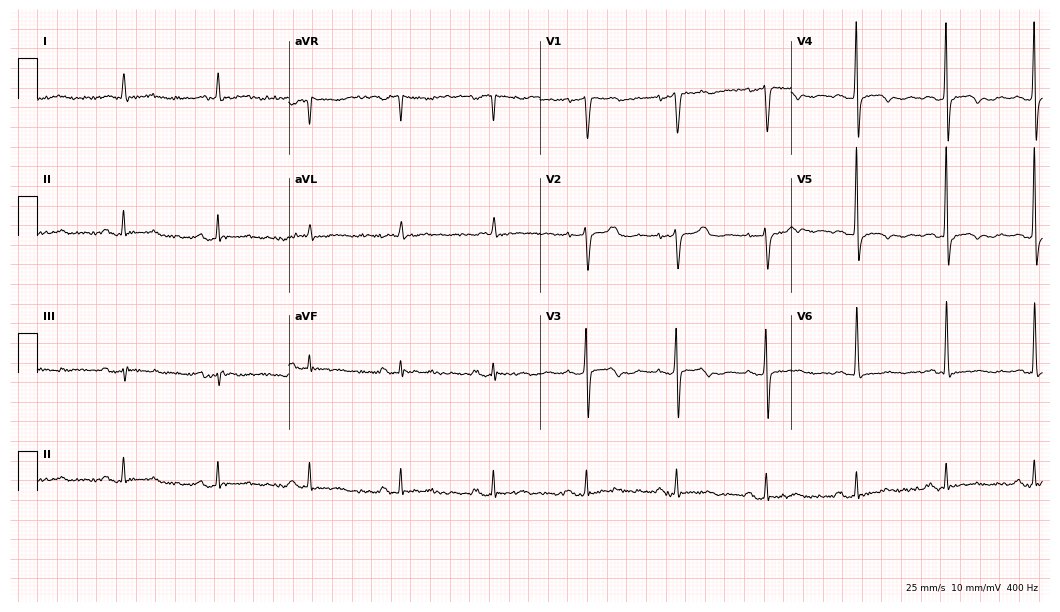
ECG (10.2-second recording at 400 Hz) — an 80-year-old woman. Screened for six findings — first-degree AV block, right bundle branch block (RBBB), left bundle branch block (LBBB), sinus bradycardia, atrial fibrillation (AF), sinus tachycardia — none is recorded. Only these six findings were labelled.